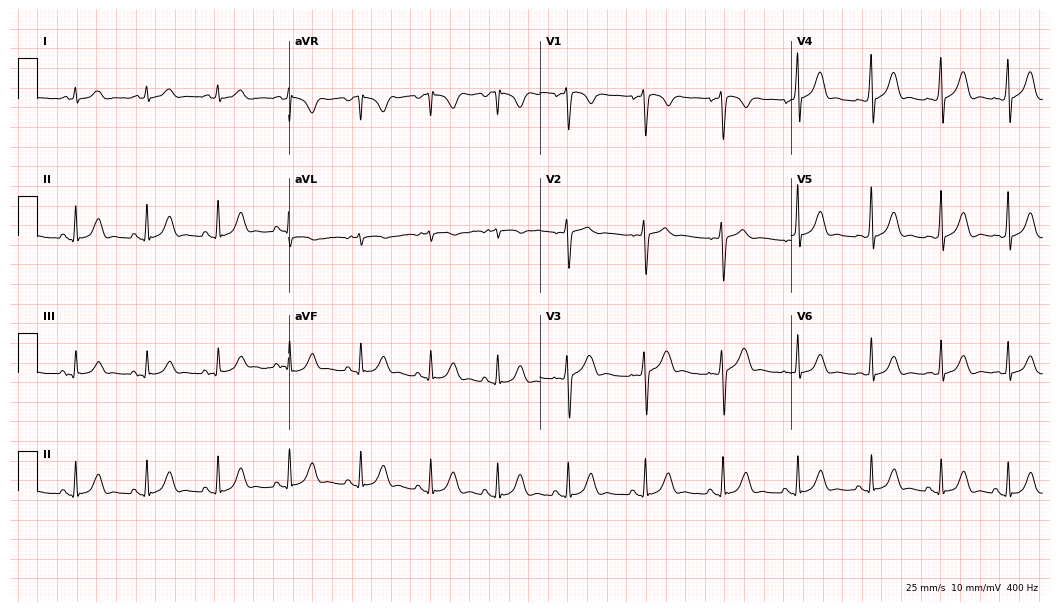
Resting 12-lead electrocardiogram. Patient: a man, 28 years old. None of these six findings is recorded: first-degree AV block, right bundle branch block, left bundle branch block, sinus bradycardia, atrial fibrillation, sinus tachycardia. Only these six findings were labelled.